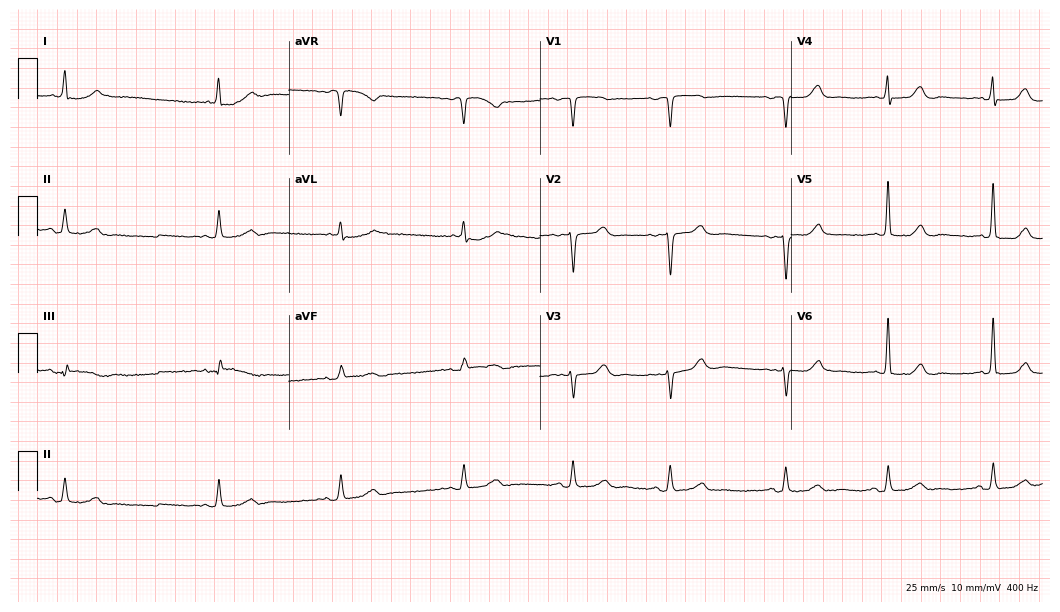
Resting 12-lead electrocardiogram. Patient: a 65-year-old female. Read as a normal ECG.